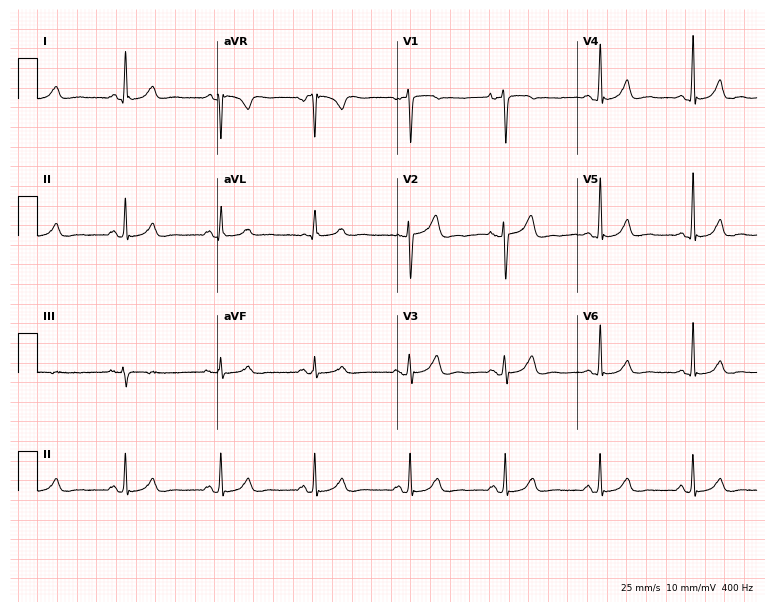
12-lead ECG from a female patient, 36 years old. Labelled as a normal ECG.